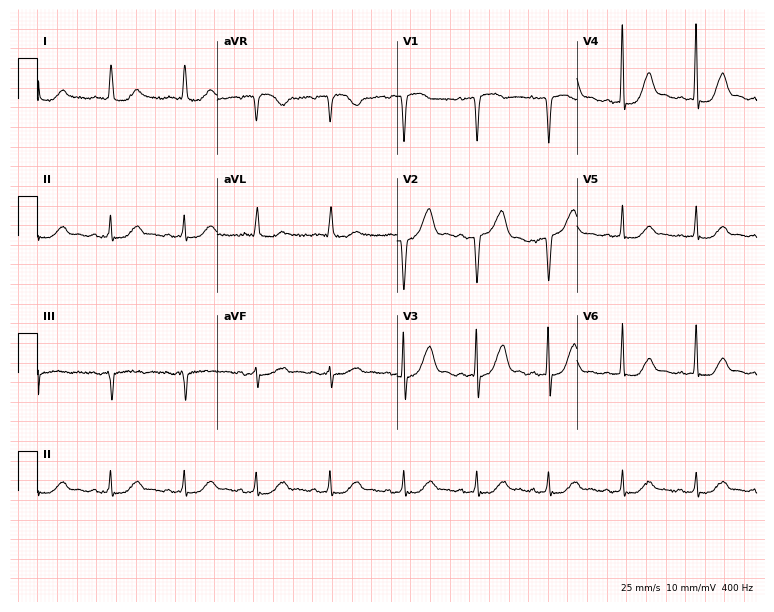
Electrocardiogram (7.3-second recording at 400 Hz), a female patient, 82 years old. Of the six screened findings (first-degree AV block, right bundle branch block (RBBB), left bundle branch block (LBBB), sinus bradycardia, atrial fibrillation (AF), sinus tachycardia), none is recorded. Only these six findings were labelled.